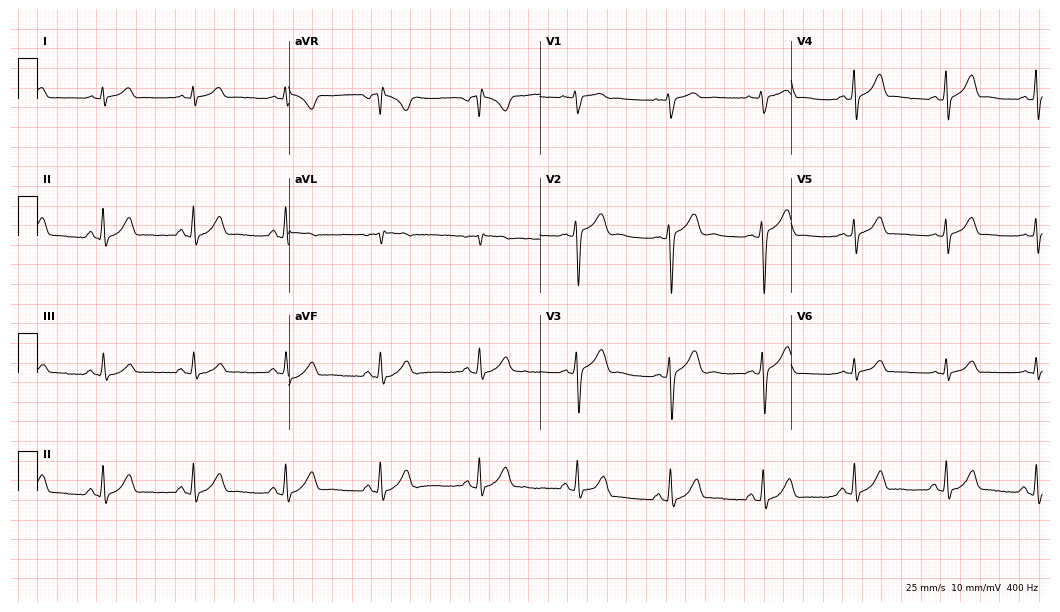
Resting 12-lead electrocardiogram. Patient: a male, 22 years old. Read as a normal ECG.